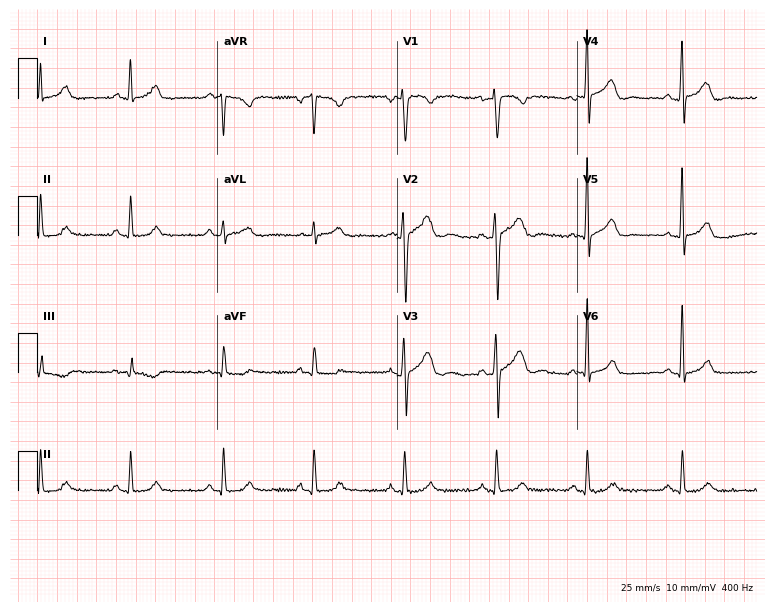
Standard 12-lead ECG recorded from a 52-year-old man (7.3-second recording at 400 Hz). Read as a normal ECG.